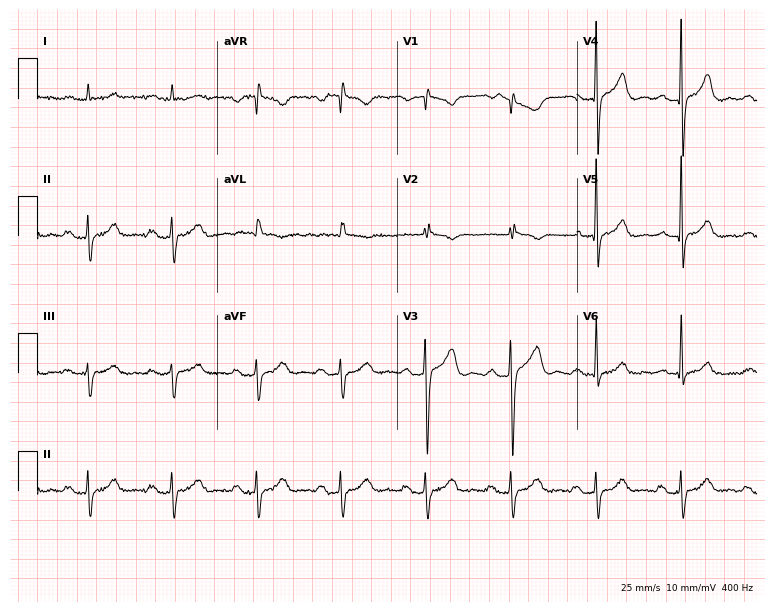
Standard 12-lead ECG recorded from a male, 73 years old (7.3-second recording at 400 Hz). None of these six findings is recorded: first-degree AV block, right bundle branch block, left bundle branch block, sinus bradycardia, atrial fibrillation, sinus tachycardia. Findings outside these six are not listed.